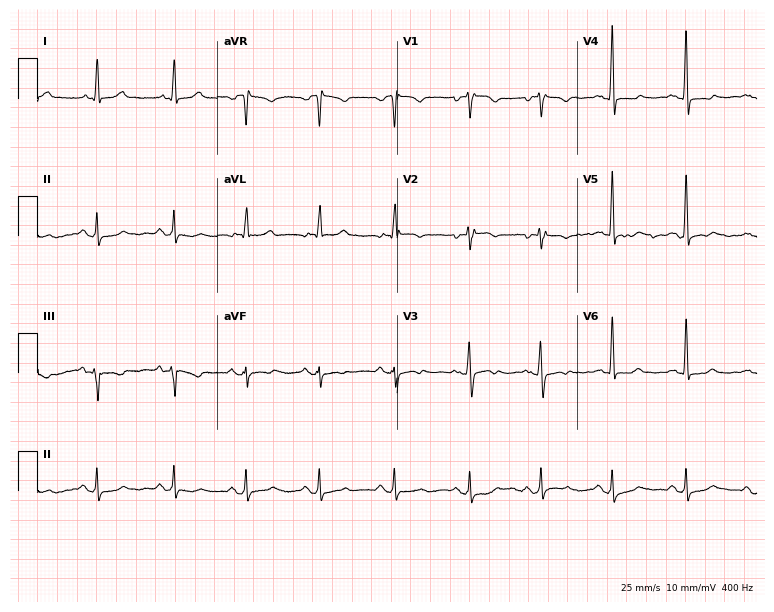
Standard 12-lead ECG recorded from a female patient, 37 years old. None of these six findings is recorded: first-degree AV block, right bundle branch block (RBBB), left bundle branch block (LBBB), sinus bradycardia, atrial fibrillation (AF), sinus tachycardia.